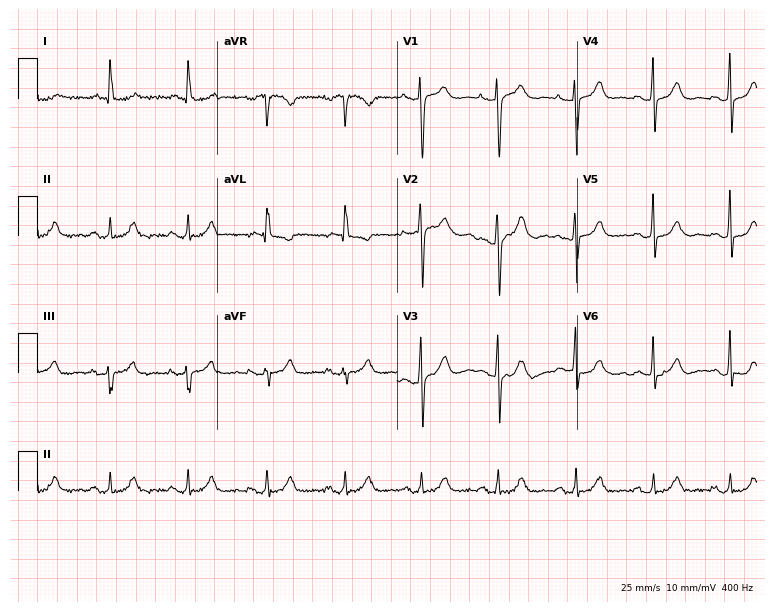
Standard 12-lead ECG recorded from a 70-year-old woman. Read as a normal ECG.